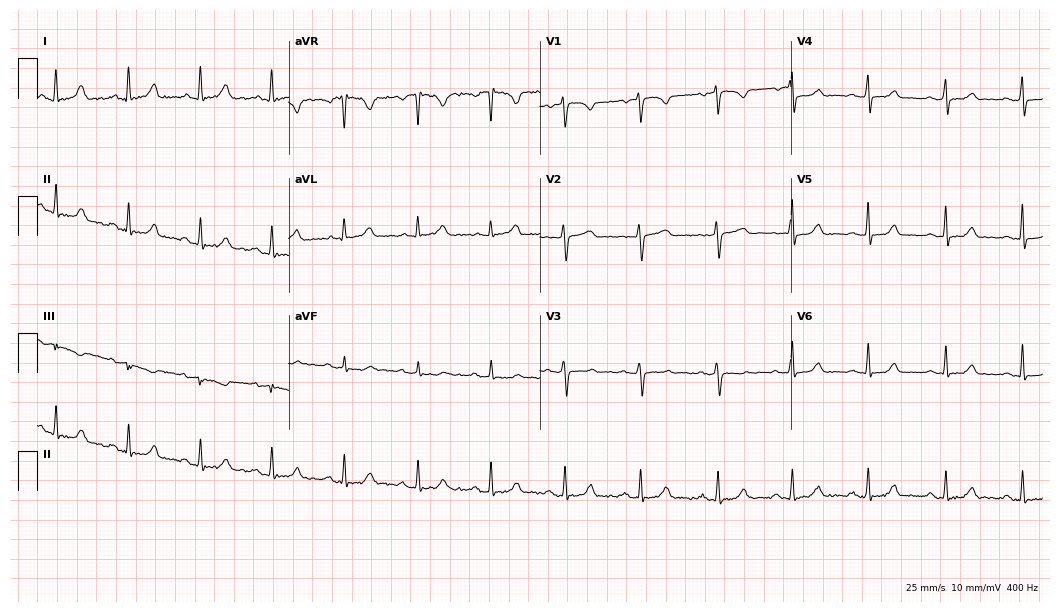
Standard 12-lead ECG recorded from a female, 43 years old. Read as a normal ECG.